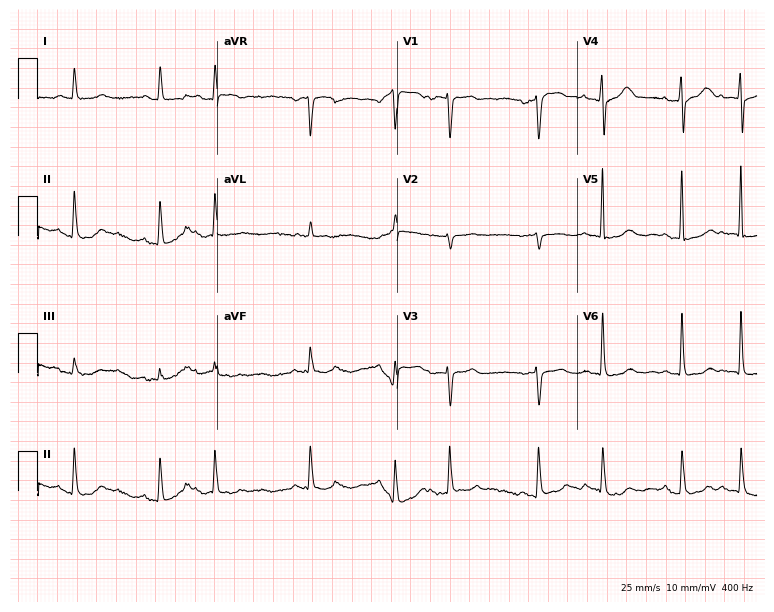
Electrocardiogram, an 83-year-old female. Of the six screened findings (first-degree AV block, right bundle branch block, left bundle branch block, sinus bradycardia, atrial fibrillation, sinus tachycardia), none is recorded.